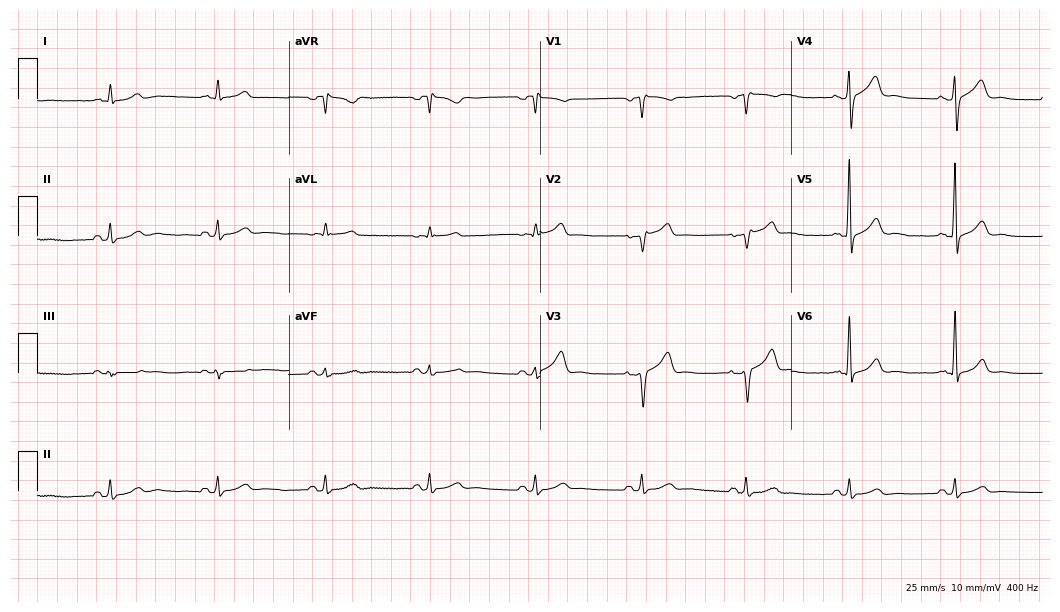
ECG (10.2-second recording at 400 Hz) — a male, 61 years old. Screened for six findings — first-degree AV block, right bundle branch block, left bundle branch block, sinus bradycardia, atrial fibrillation, sinus tachycardia — none is recorded.